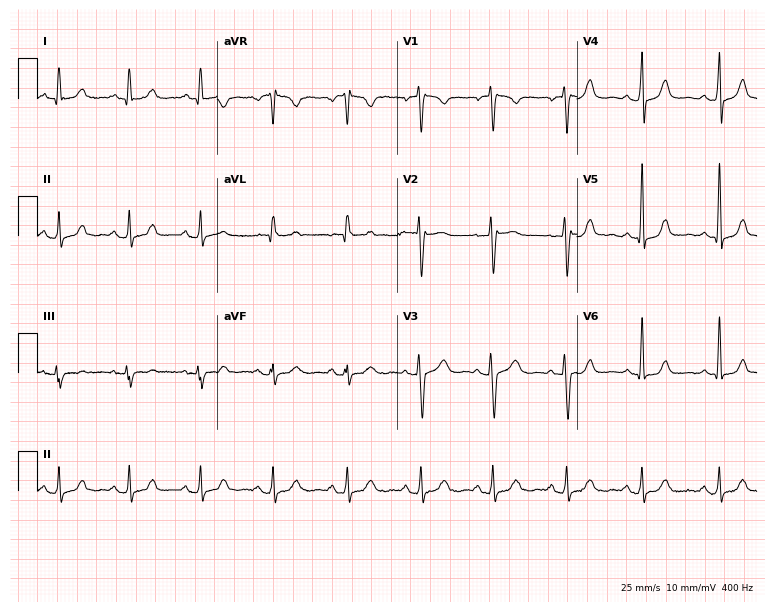
Electrocardiogram, a 56-year-old woman. Overall reading on record: normal ECG.